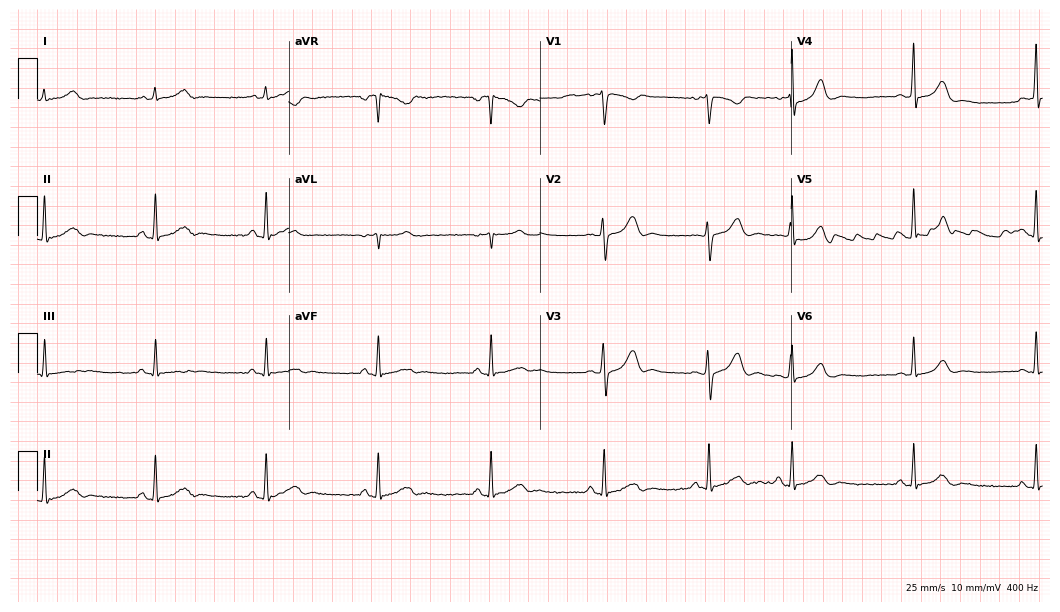
Electrocardiogram, a woman, 22 years old. Overall reading on record: normal ECG.